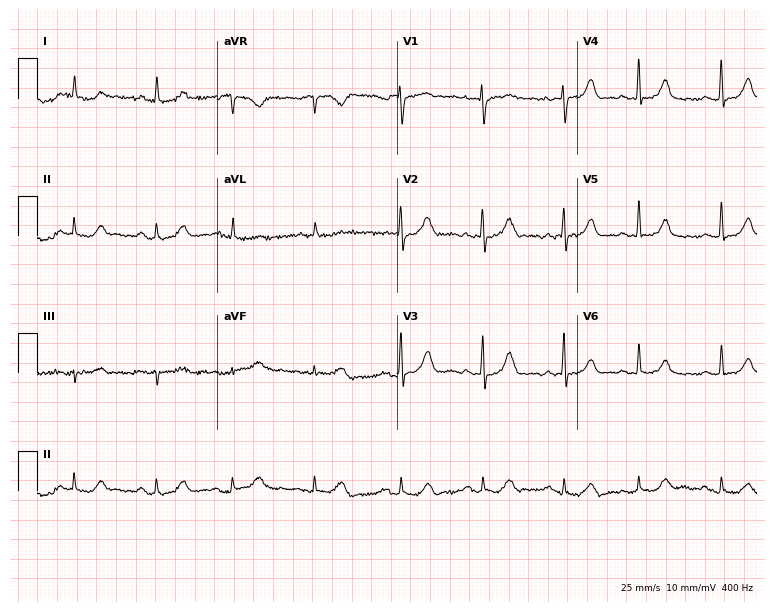
Electrocardiogram (7.3-second recording at 400 Hz), a female patient, 84 years old. Of the six screened findings (first-degree AV block, right bundle branch block, left bundle branch block, sinus bradycardia, atrial fibrillation, sinus tachycardia), none is recorded. Only these six findings were labelled.